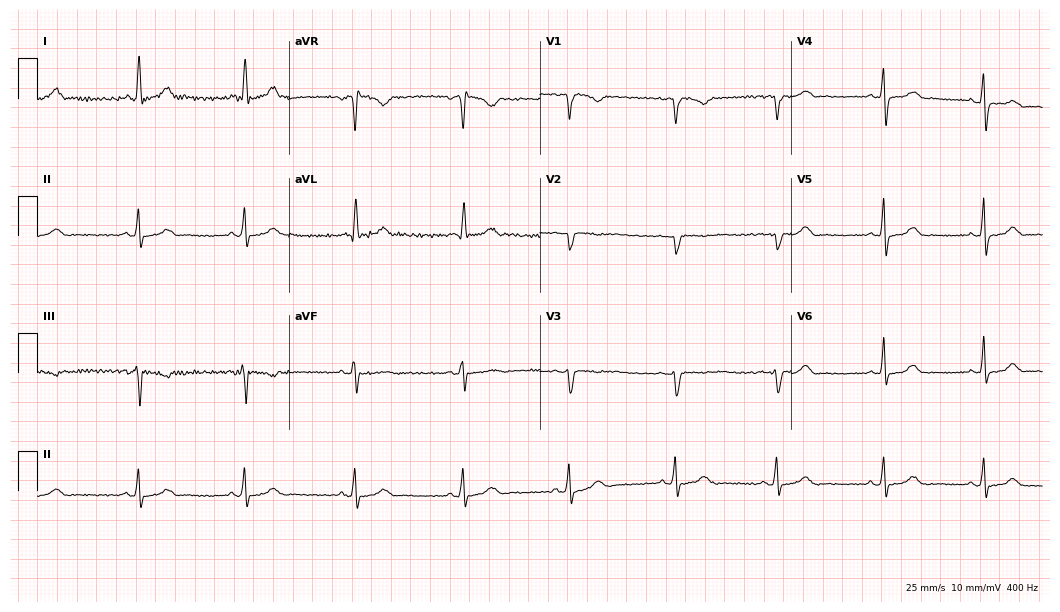
12-lead ECG (10.2-second recording at 400 Hz) from a female patient, 37 years old. Labelled as a normal ECG.